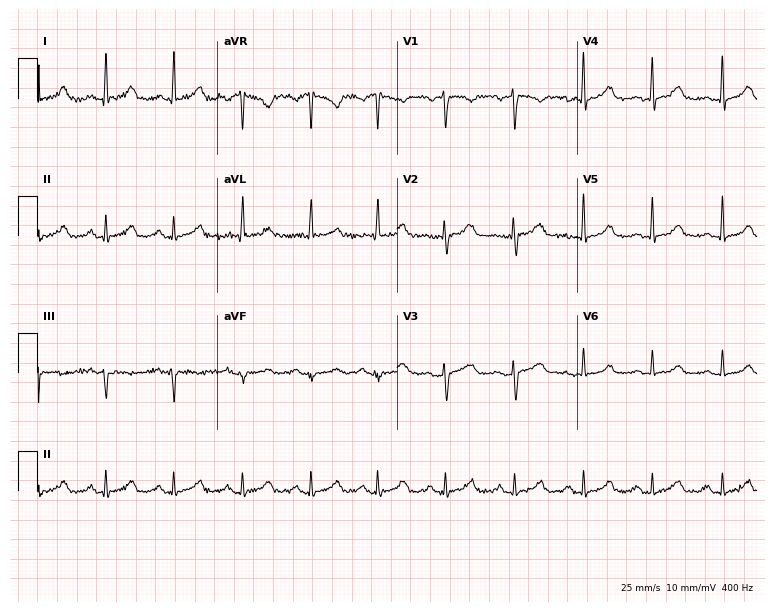
Standard 12-lead ECG recorded from a 35-year-old woman (7.3-second recording at 400 Hz). Read as a normal ECG.